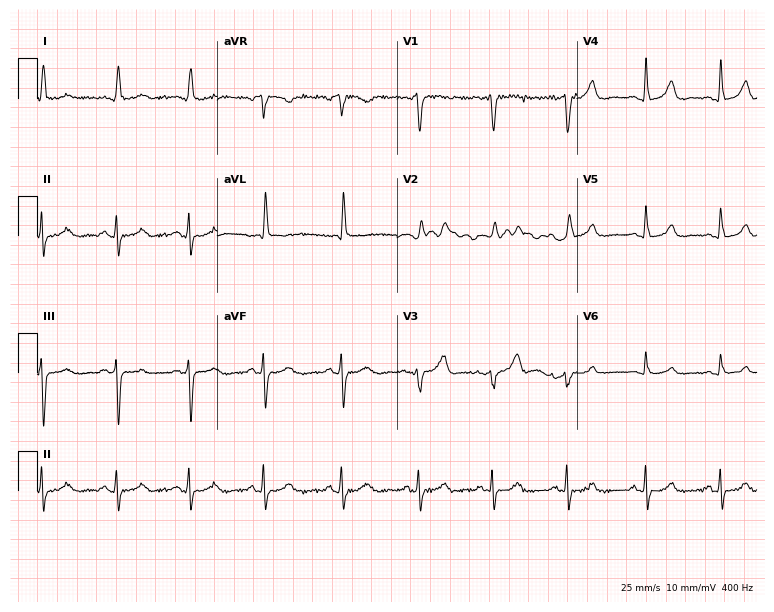
Electrocardiogram, a 71-year-old woman. Overall reading on record: normal ECG.